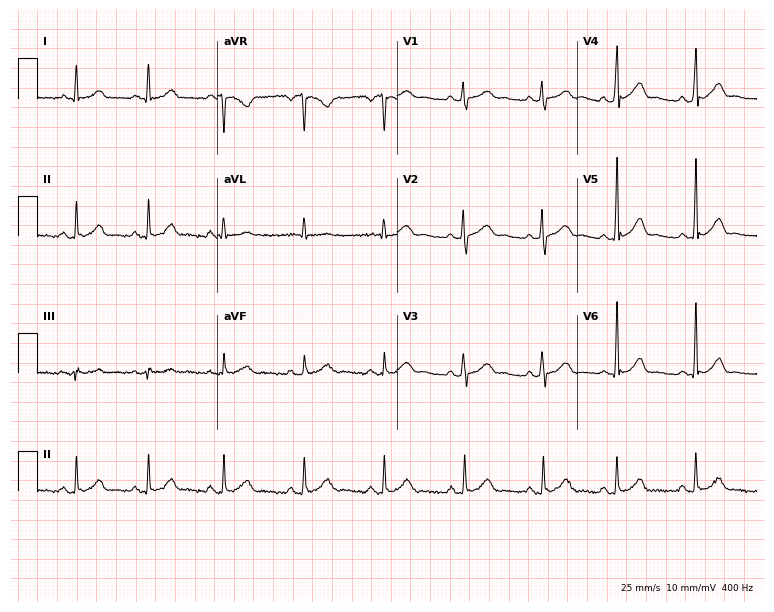
Standard 12-lead ECG recorded from a 28-year-old female. Read as a normal ECG.